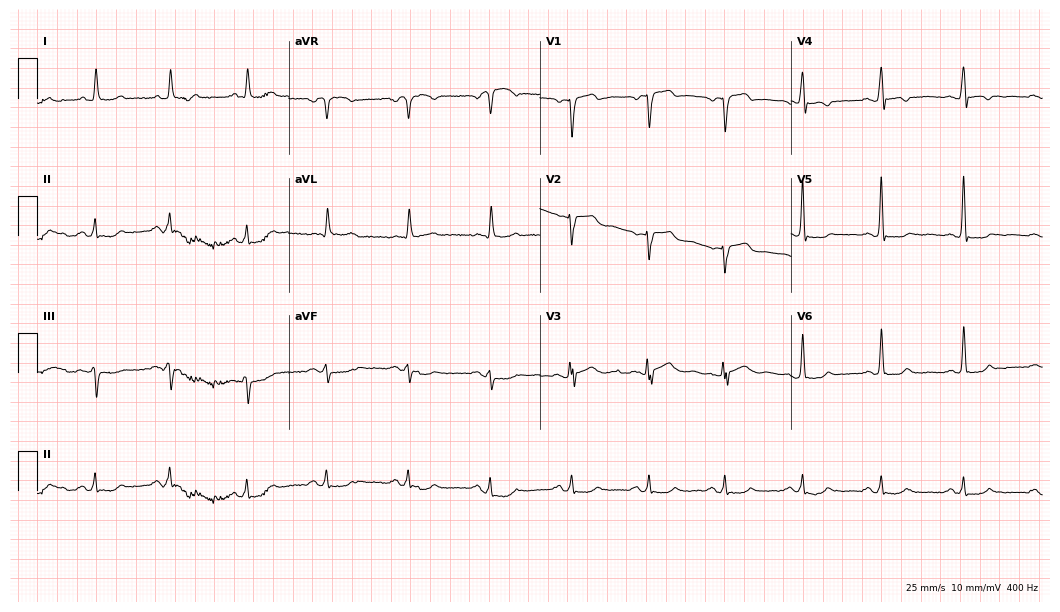
12-lead ECG from a 52-year-old man. No first-degree AV block, right bundle branch block, left bundle branch block, sinus bradycardia, atrial fibrillation or sinus tachycardia recorded for this tracing.